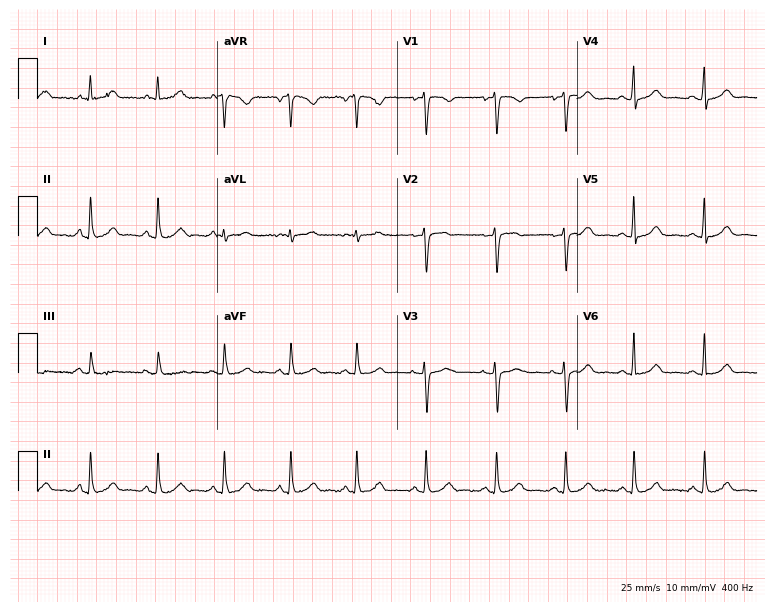
12-lead ECG from a 38-year-old female. Labelled as a normal ECG.